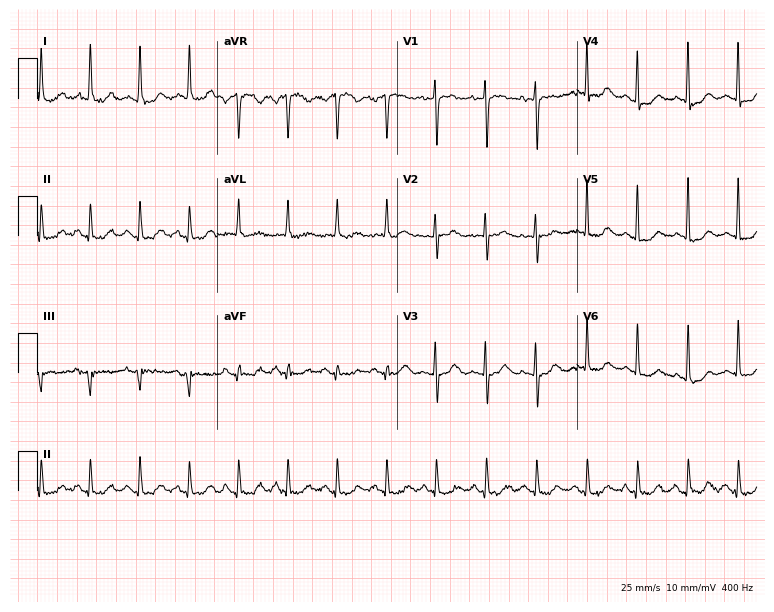
12-lead ECG (7.3-second recording at 400 Hz) from a female, 59 years old. Screened for six findings — first-degree AV block, right bundle branch block, left bundle branch block, sinus bradycardia, atrial fibrillation, sinus tachycardia — none is recorded. Other findings, if any, are not listed.